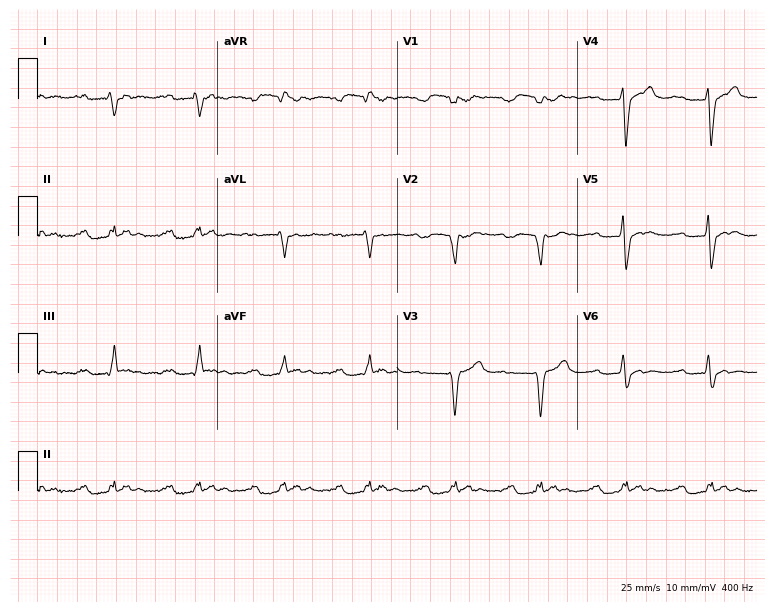
Resting 12-lead electrocardiogram. Patient: a 60-year-old woman. The tracing shows first-degree AV block.